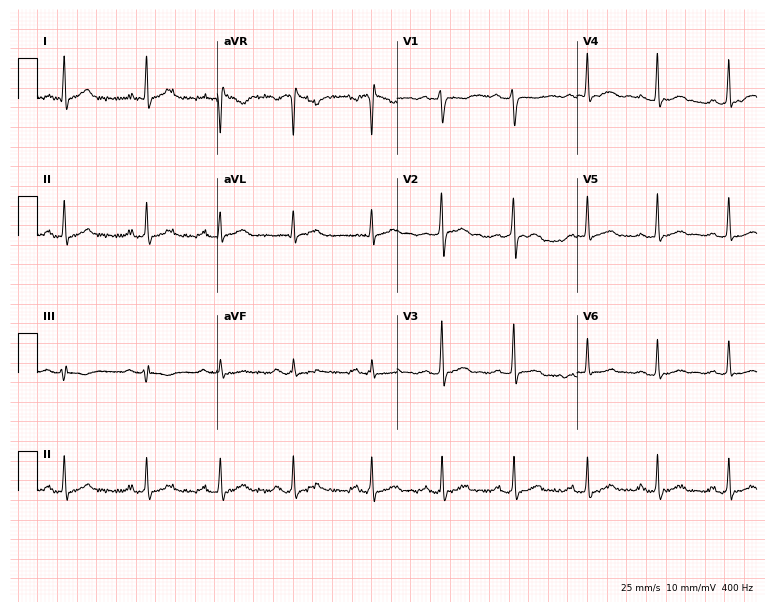
Resting 12-lead electrocardiogram (7.3-second recording at 400 Hz). Patient: a 25-year-old male. None of these six findings is recorded: first-degree AV block, right bundle branch block (RBBB), left bundle branch block (LBBB), sinus bradycardia, atrial fibrillation (AF), sinus tachycardia.